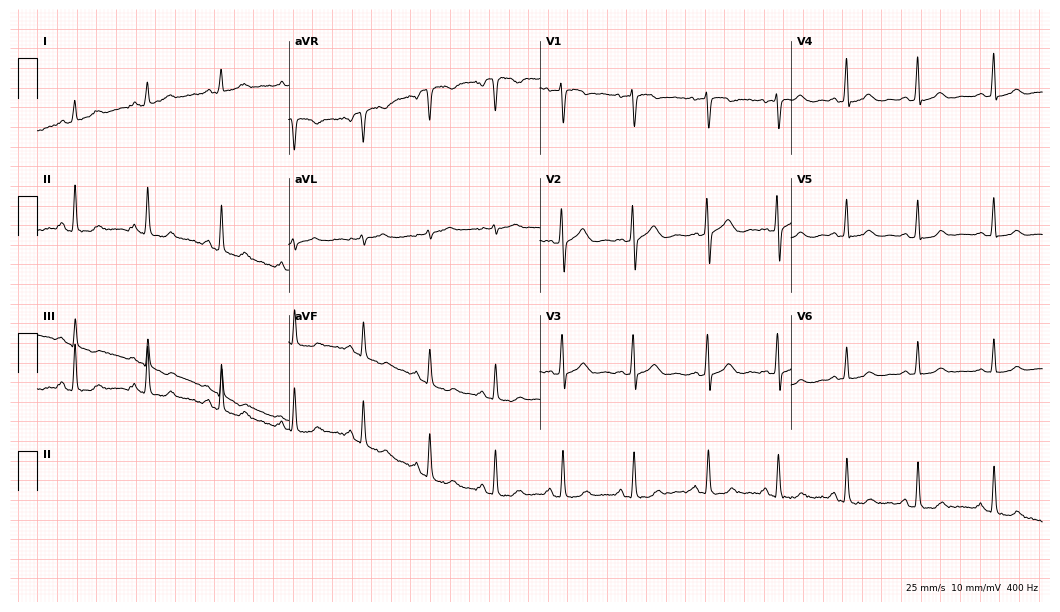
Electrocardiogram (10.2-second recording at 400 Hz), a female patient, 25 years old. Of the six screened findings (first-degree AV block, right bundle branch block, left bundle branch block, sinus bradycardia, atrial fibrillation, sinus tachycardia), none is recorded.